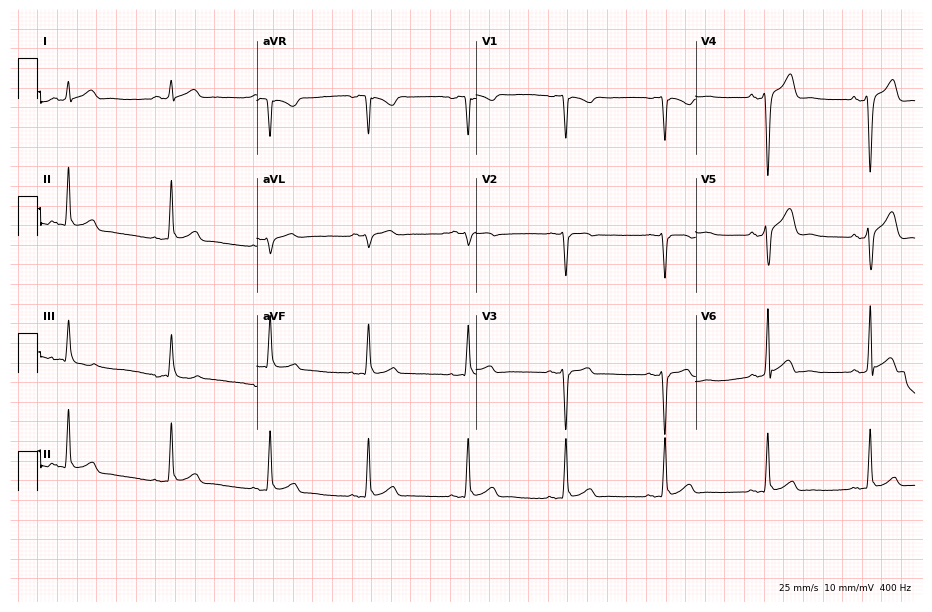
12-lead ECG from a 26-year-old male. Screened for six findings — first-degree AV block, right bundle branch block (RBBB), left bundle branch block (LBBB), sinus bradycardia, atrial fibrillation (AF), sinus tachycardia — none is recorded. Only these six findings were labelled.